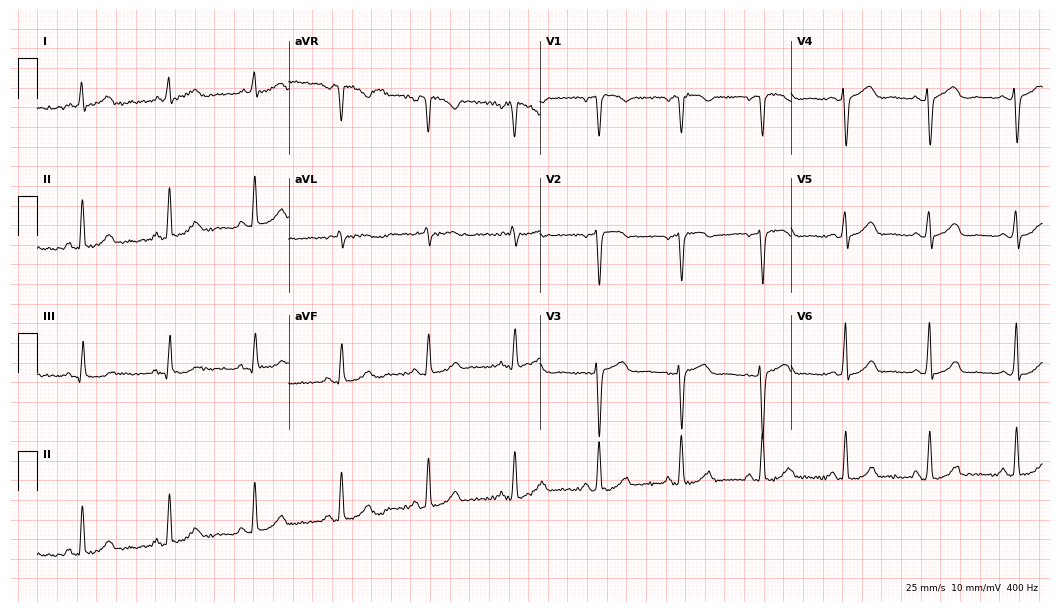
Standard 12-lead ECG recorded from a female, 60 years old. Read as a normal ECG.